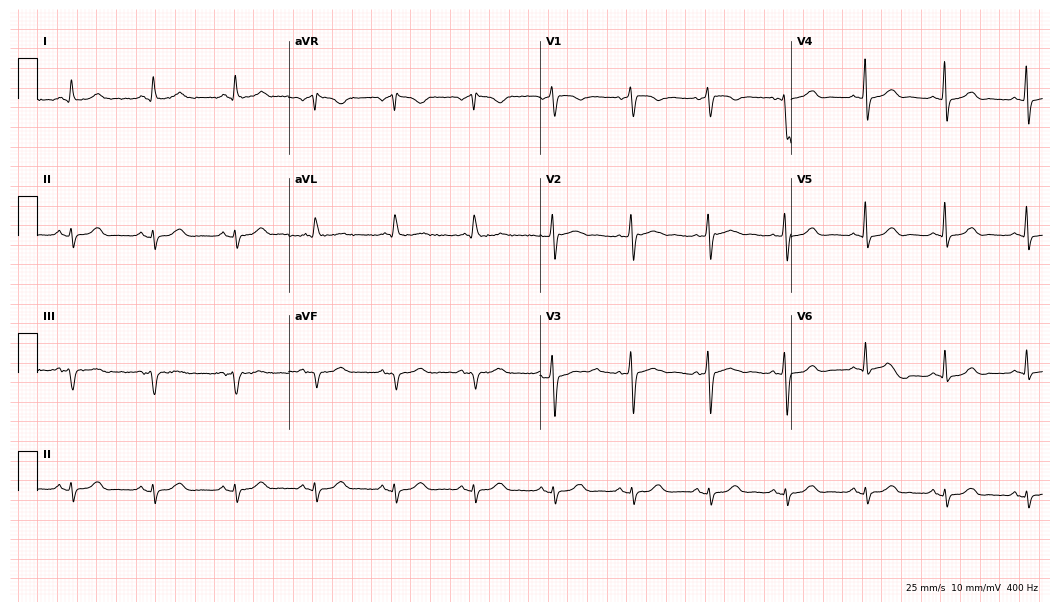
ECG — a 79-year-old female patient. Screened for six findings — first-degree AV block, right bundle branch block, left bundle branch block, sinus bradycardia, atrial fibrillation, sinus tachycardia — none is recorded.